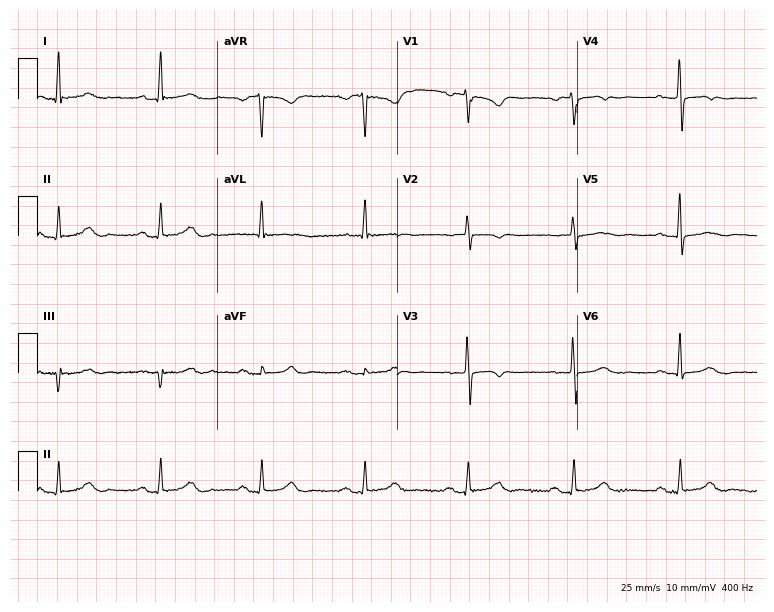
Standard 12-lead ECG recorded from a 71-year-old female (7.3-second recording at 400 Hz). None of these six findings is recorded: first-degree AV block, right bundle branch block, left bundle branch block, sinus bradycardia, atrial fibrillation, sinus tachycardia.